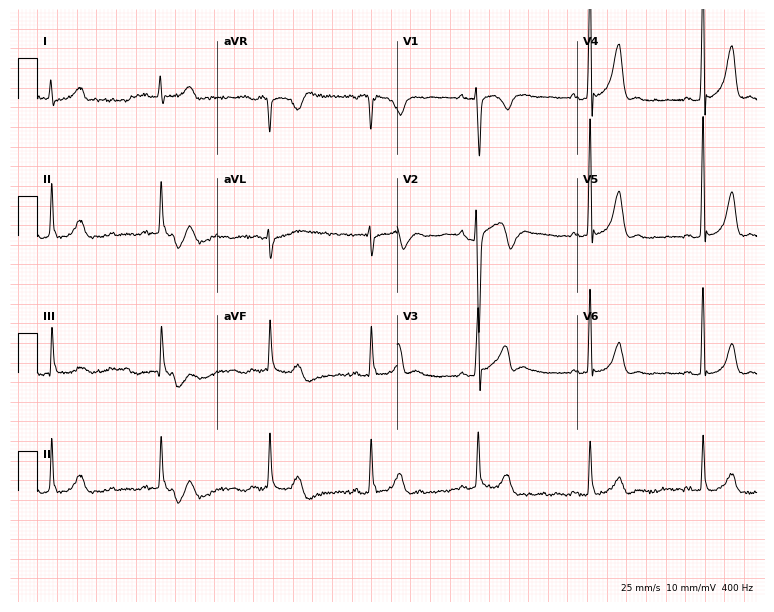
12-lead ECG from a 35-year-old male patient. Screened for six findings — first-degree AV block, right bundle branch block, left bundle branch block, sinus bradycardia, atrial fibrillation, sinus tachycardia — none is recorded.